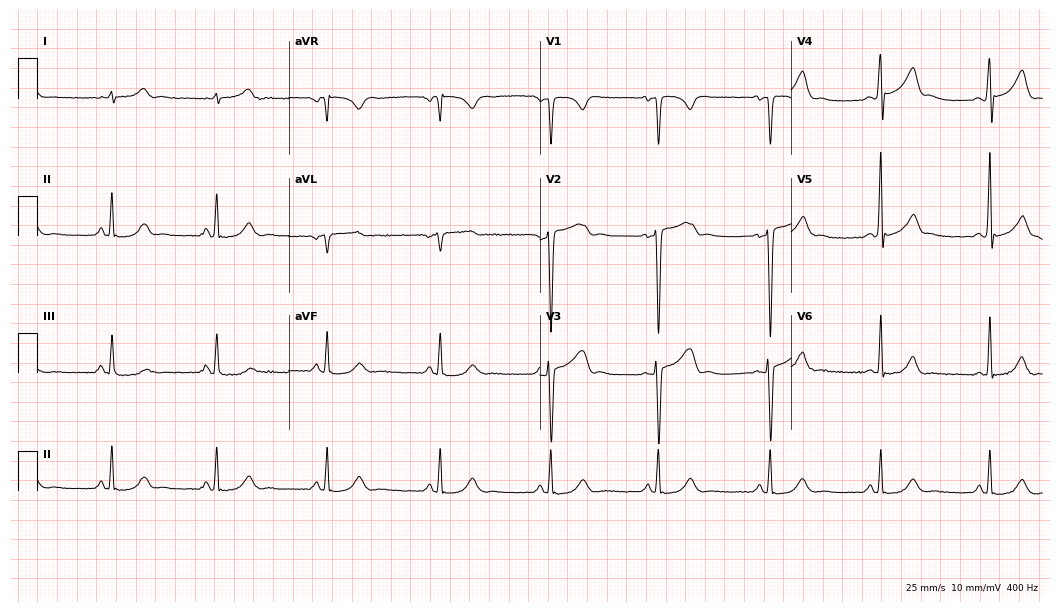
12-lead ECG (10.2-second recording at 400 Hz) from a 40-year-old man. Screened for six findings — first-degree AV block, right bundle branch block, left bundle branch block, sinus bradycardia, atrial fibrillation, sinus tachycardia — none is recorded.